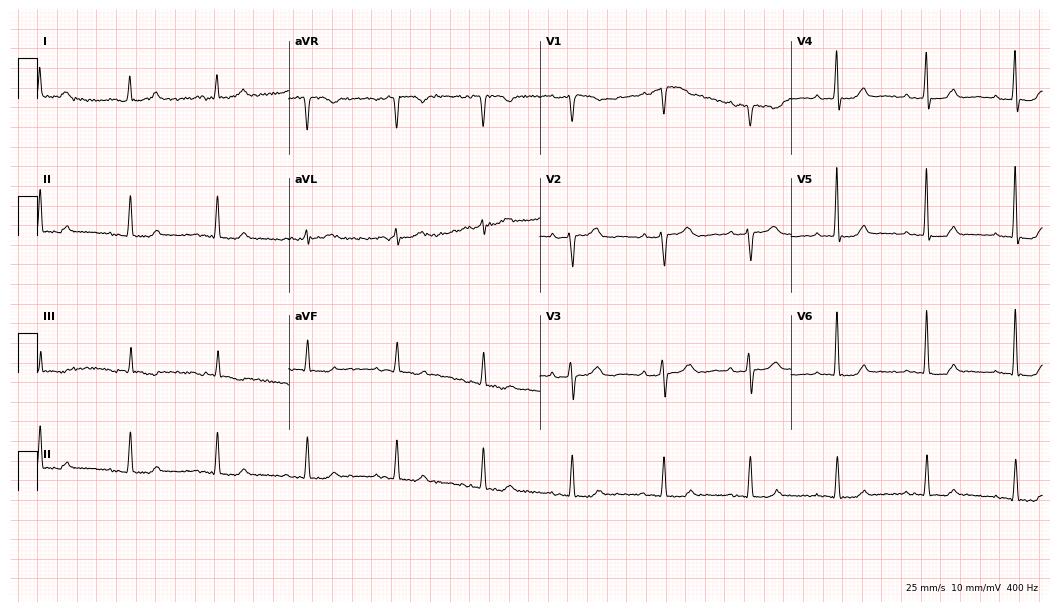
Electrocardiogram (10.2-second recording at 400 Hz), an 81-year-old female. Overall reading on record: normal ECG.